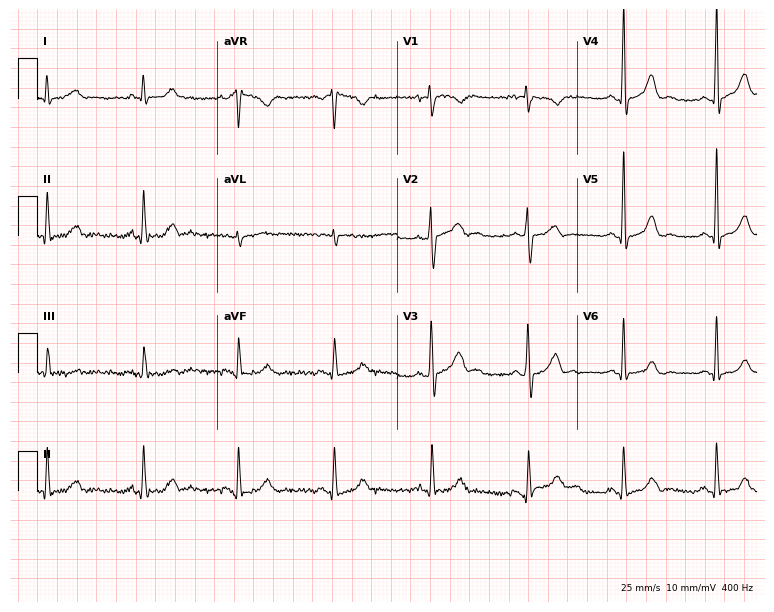
Electrocardiogram (7.3-second recording at 400 Hz), a man, 61 years old. Of the six screened findings (first-degree AV block, right bundle branch block (RBBB), left bundle branch block (LBBB), sinus bradycardia, atrial fibrillation (AF), sinus tachycardia), none is recorded.